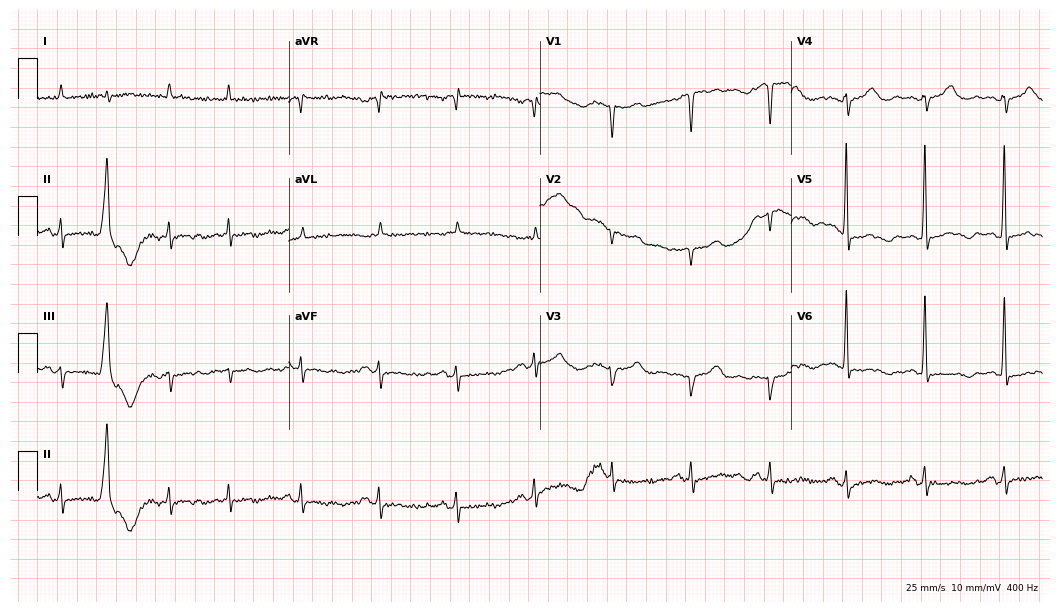
12-lead ECG (10.2-second recording at 400 Hz) from an 83-year-old female patient. Screened for six findings — first-degree AV block, right bundle branch block, left bundle branch block, sinus bradycardia, atrial fibrillation, sinus tachycardia — none is recorded. Only these six findings were labelled.